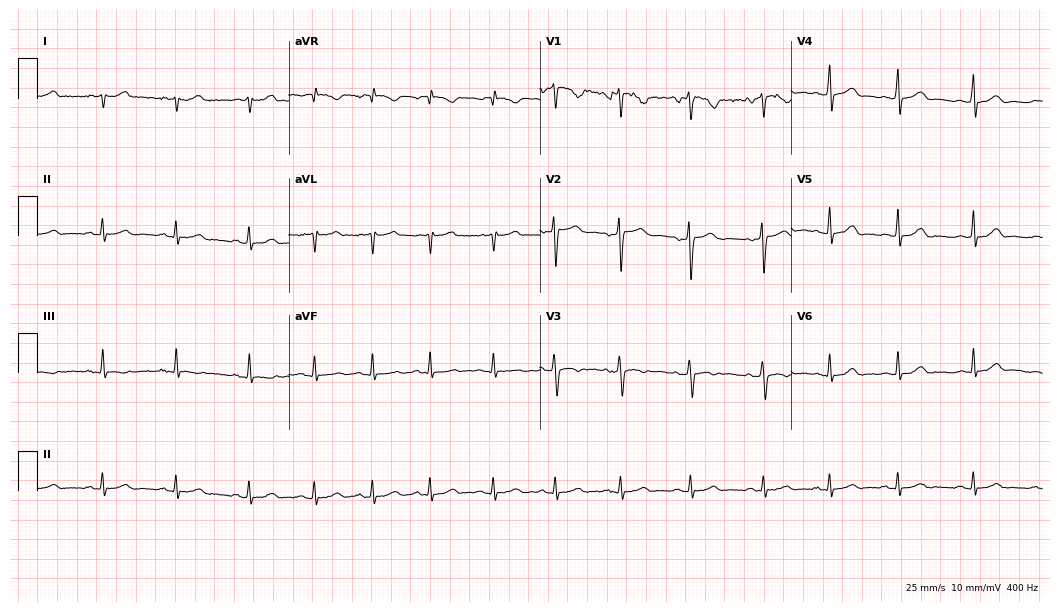
Electrocardiogram (10.2-second recording at 400 Hz), a 22-year-old female. Of the six screened findings (first-degree AV block, right bundle branch block, left bundle branch block, sinus bradycardia, atrial fibrillation, sinus tachycardia), none is recorded. Other findings, if any, are not listed.